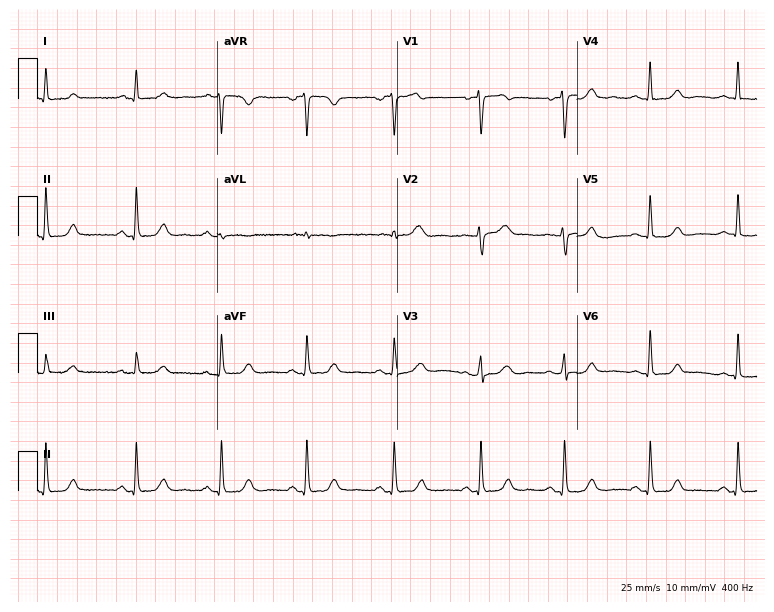
12-lead ECG from a female patient, 61 years old (7.3-second recording at 400 Hz). Recorded interpretation: within normal limits.